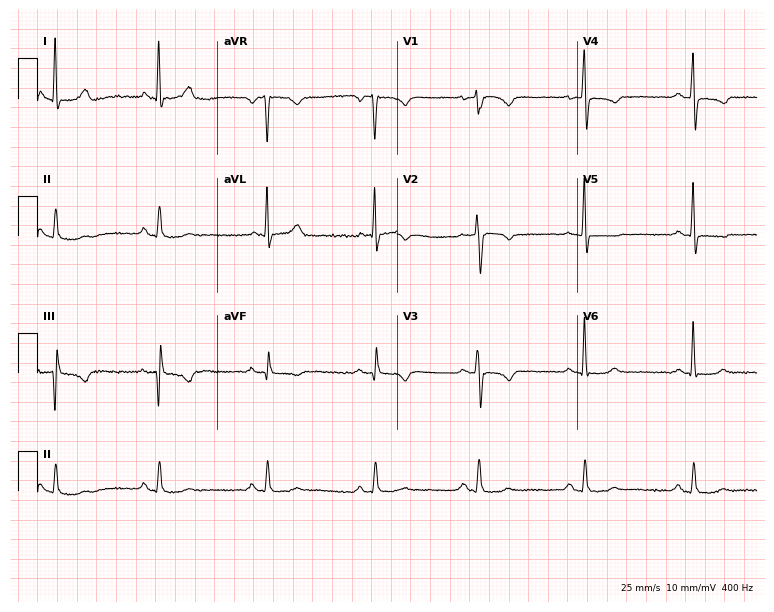
Electrocardiogram, a 61-year-old female patient. Of the six screened findings (first-degree AV block, right bundle branch block (RBBB), left bundle branch block (LBBB), sinus bradycardia, atrial fibrillation (AF), sinus tachycardia), none is recorded. Other findings, if any, are not listed.